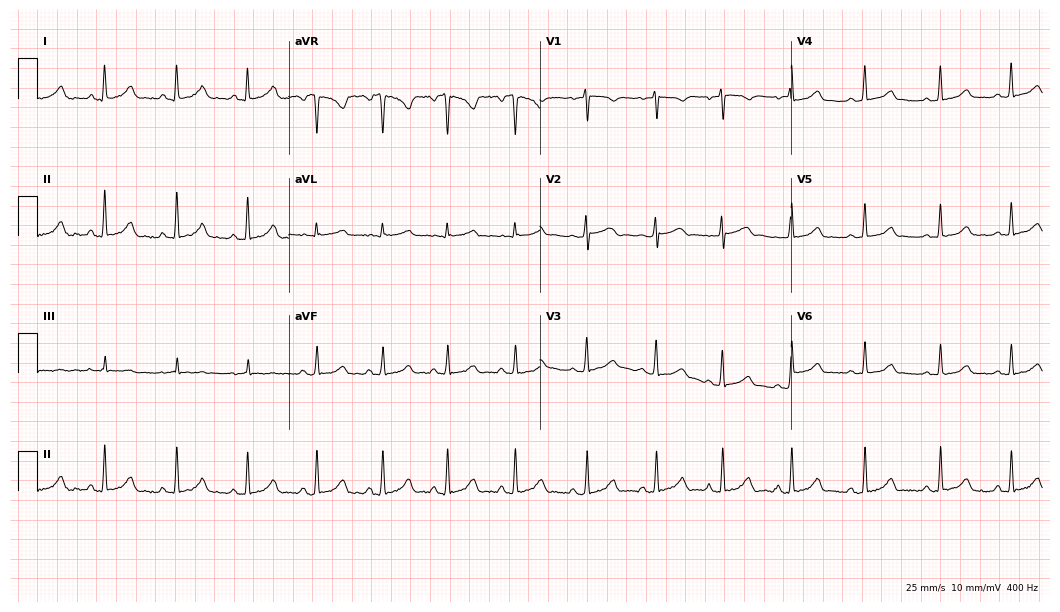
12-lead ECG (10.2-second recording at 400 Hz) from a 23-year-old woman. Labelled as a normal ECG.